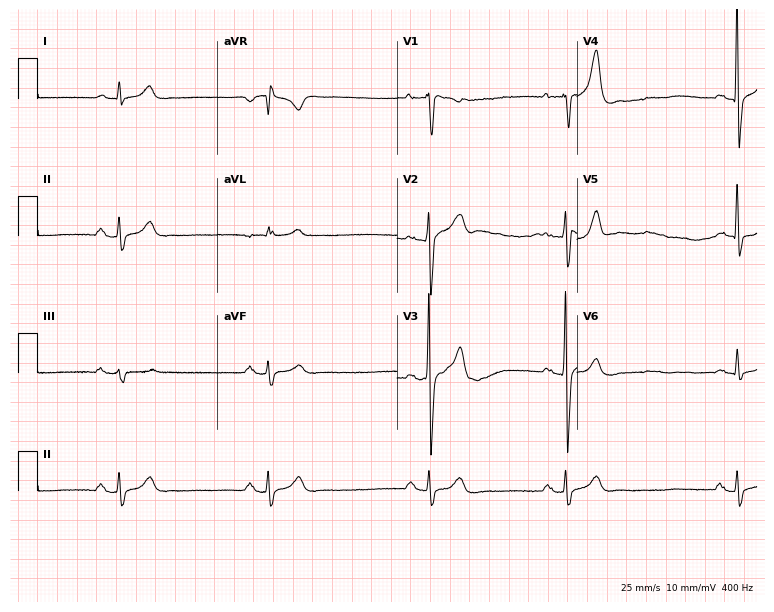
Resting 12-lead electrocardiogram (7.3-second recording at 400 Hz). Patient: a male, 25 years old. The tracing shows sinus bradycardia (a sinus rate of 50 beats per minute or less).